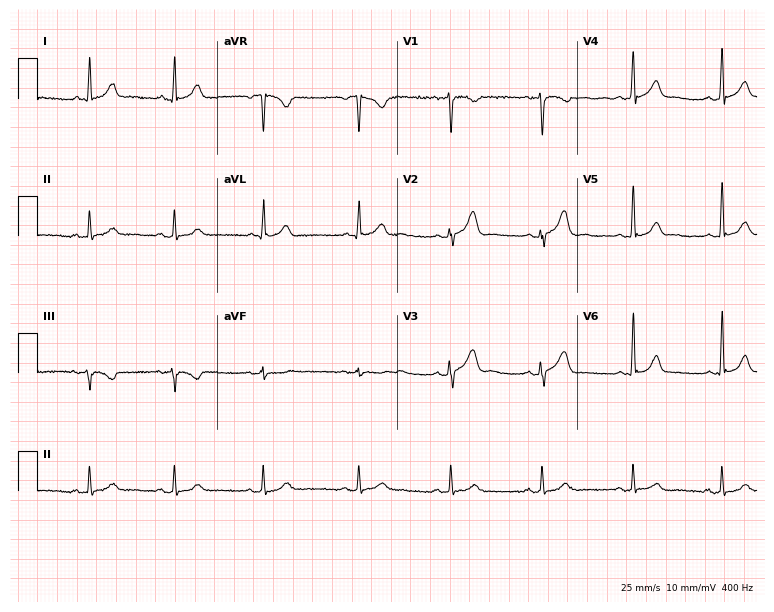
Electrocardiogram (7.3-second recording at 400 Hz), a female, 41 years old. Of the six screened findings (first-degree AV block, right bundle branch block, left bundle branch block, sinus bradycardia, atrial fibrillation, sinus tachycardia), none is recorded.